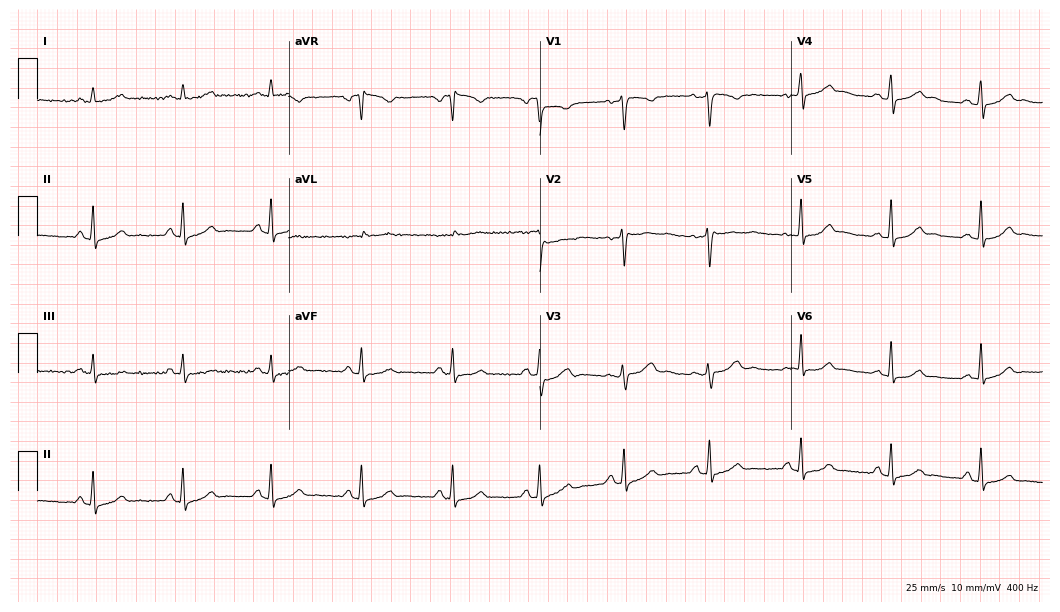
12-lead ECG from a 31-year-old female patient. Labelled as a normal ECG.